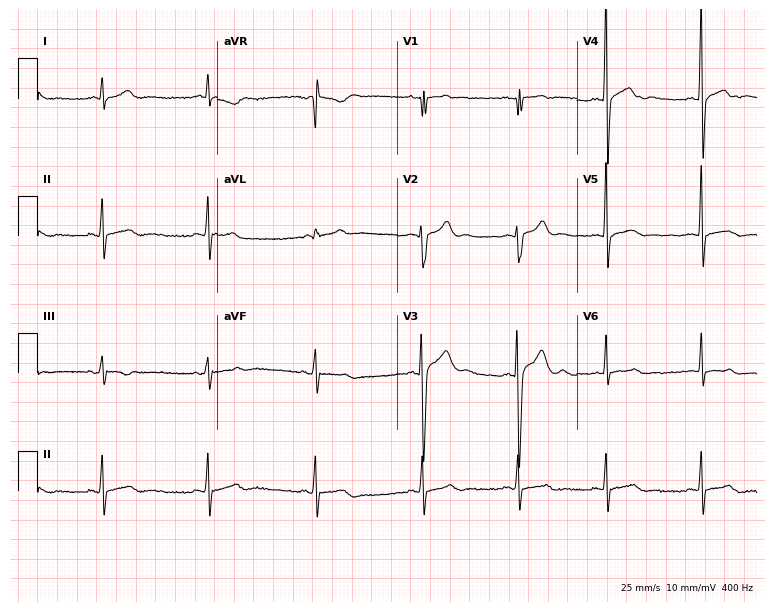
Resting 12-lead electrocardiogram. Patient: a male, 23 years old. Read as a normal ECG.